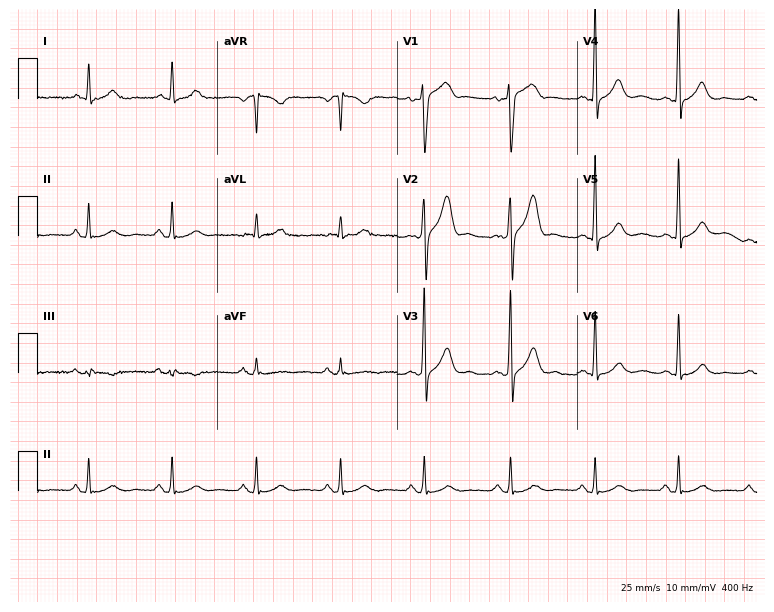
12-lead ECG (7.3-second recording at 400 Hz) from a 55-year-old male patient. Labelled as a normal ECG.